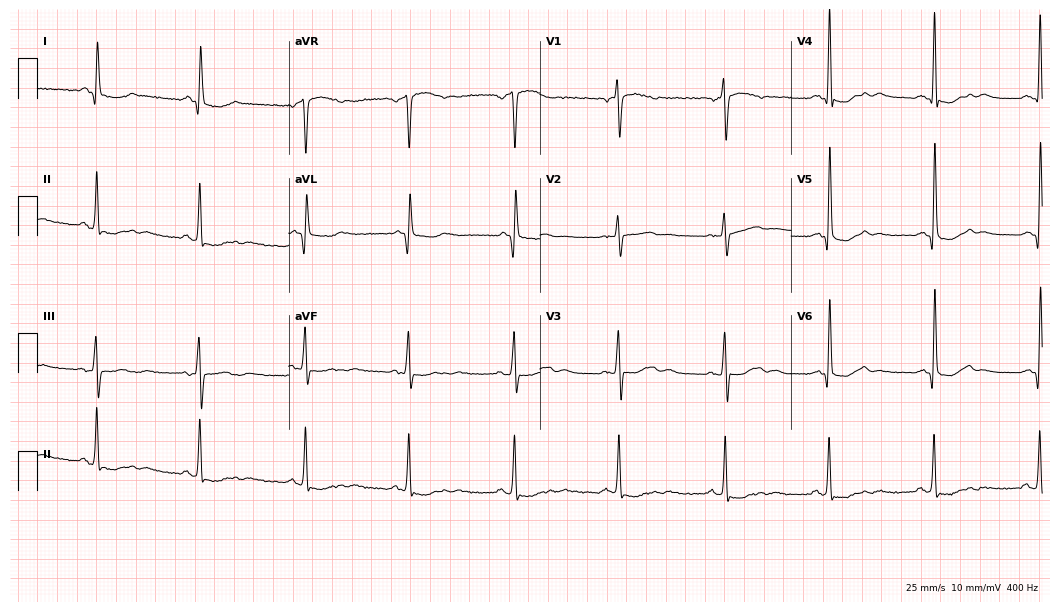
12-lead ECG from a 61-year-old female patient. Screened for six findings — first-degree AV block, right bundle branch block, left bundle branch block, sinus bradycardia, atrial fibrillation, sinus tachycardia — none is recorded.